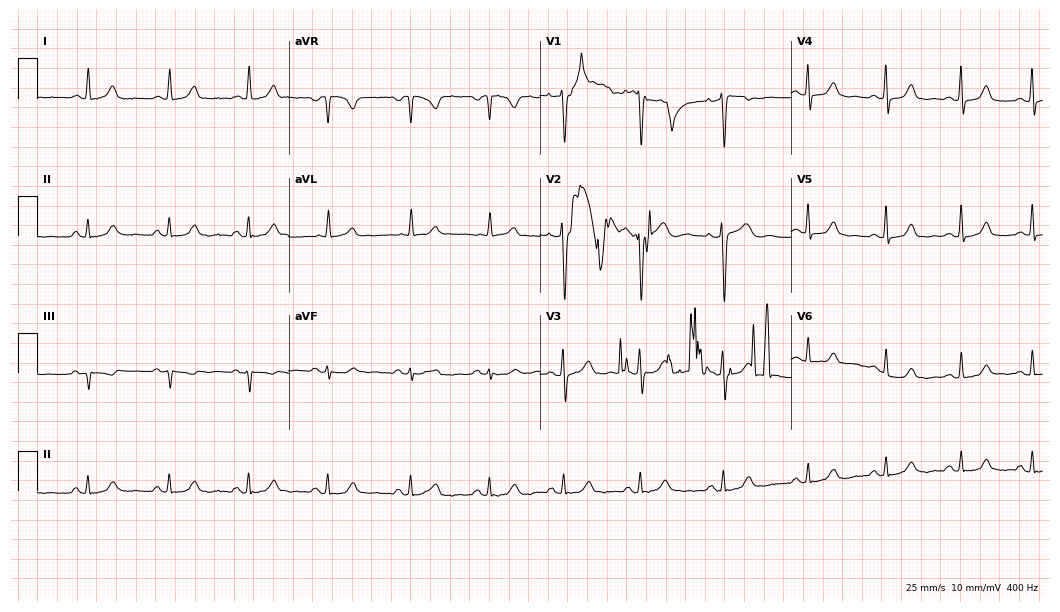
Standard 12-lead ECG recorded from a woman, 47 years old. None of these six findings is recorded: first-degree AV block, right bundle branch block (RBBB), left bundle branch block (LBBB), sinus bradycardia, atrial fibrillation (AF), sinus tachycardia.